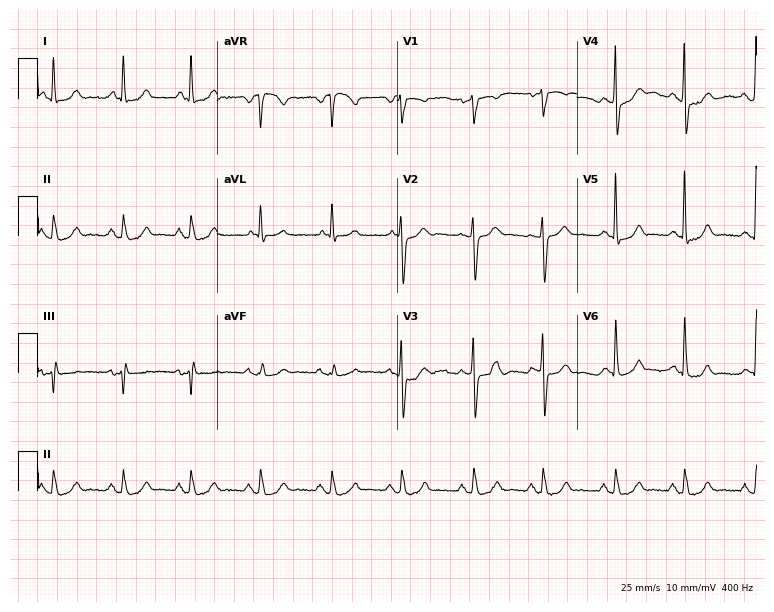
Electrocardiogram (7.3-second recording at 400 Hz), a male, 60 years old. Of the six screened findings (first-degree AV block, right bundle branch block (RBBB), left bundle branch block (LBBB), sinus bradycardia, atrial fibrillation (AF), sinus tachycardia), none is recorded.